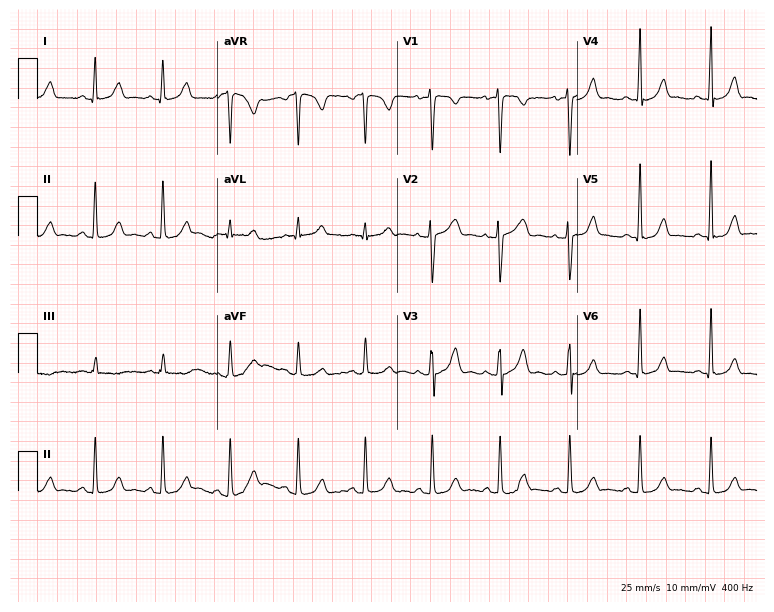
Resting 12-lead electrocardiogram (7.3-second recording at 400 Hz). Patient: a female, 36 years old. Read as a normal ECG.